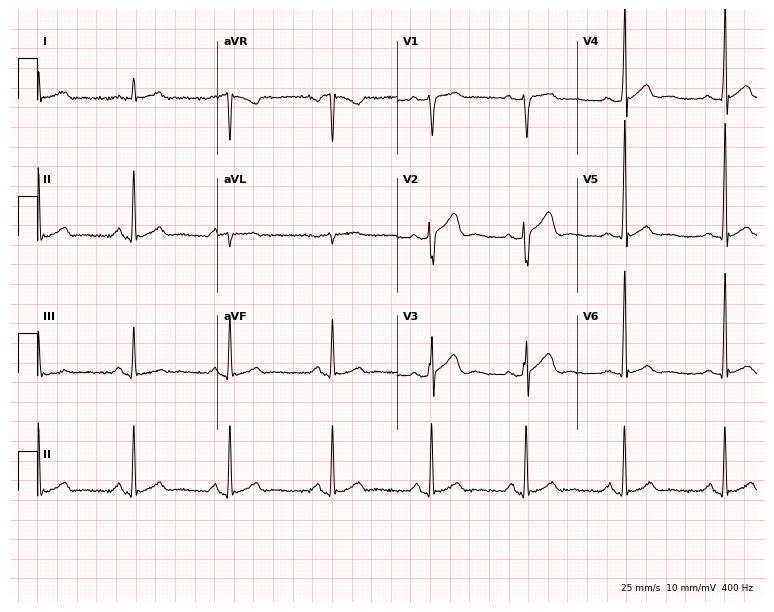
ECG — a male, 51 years old. Labelled as a normal ECG.